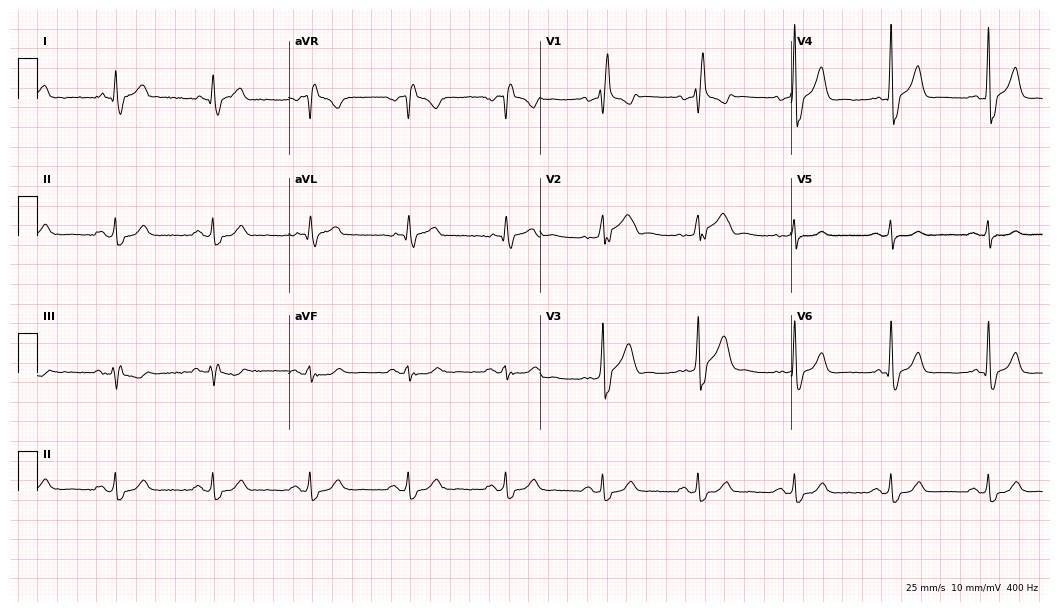
ECG — a male, 67 years old. Findings include right bundle branch block.